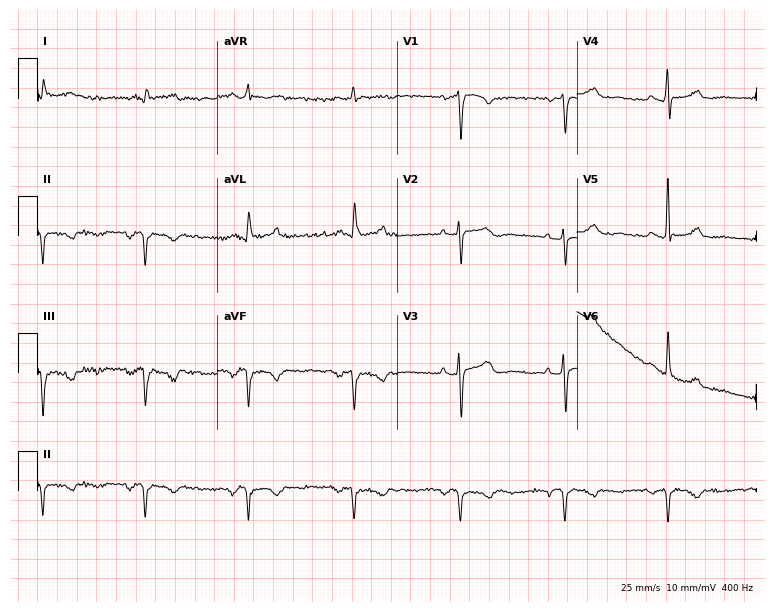
Resting 12-lead electrocardiogram (7.3-second recording at 400 Hz). Patient: a 55-year-old female. None of these six findings is recorded: first-degree AV block, right bundle branch block, left bundle branch block, sinus bradycardia, atrial fibrillation, sinus tachycardia. Other findings, if any, are not listed.